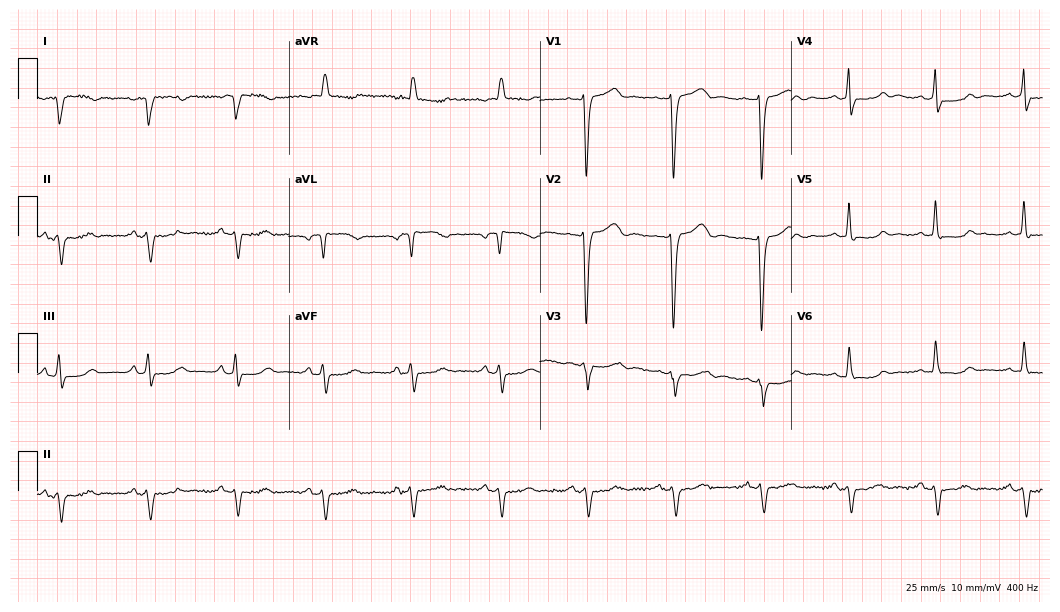
Resting 12-lead electrocardiogram. Patient: an 85-year-old female. None of these six findings is recorded: first-degree AV block, right bundle branch block (RBBB), left bundle branch block (LBBB), sinus bradycardia, atrial fibrillation (AF), sinus tachycardia.